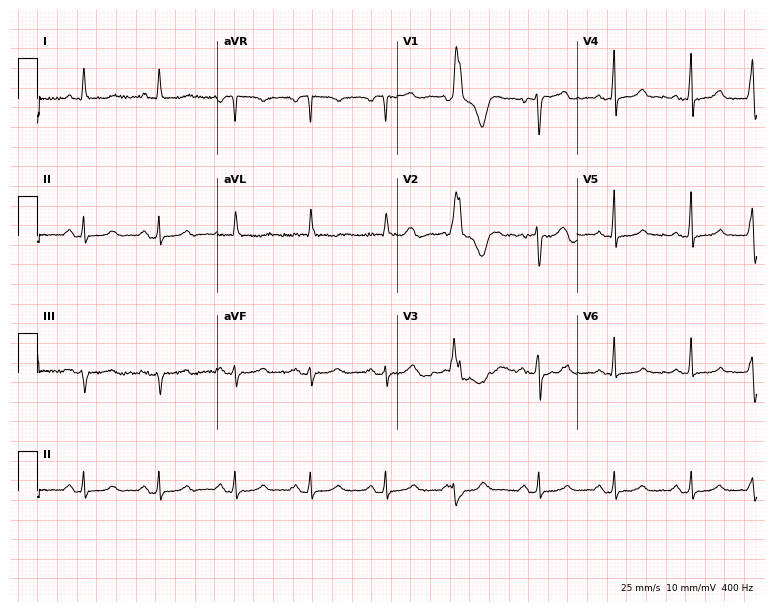
Electrocardiogram, a 53-year-old woman. Of the six screened findings (first-degree AV block, right bundle branch block, left bundle branch block, sinus bradycardia, atrial fibrillation, sinus tachycardia), none is recorded.